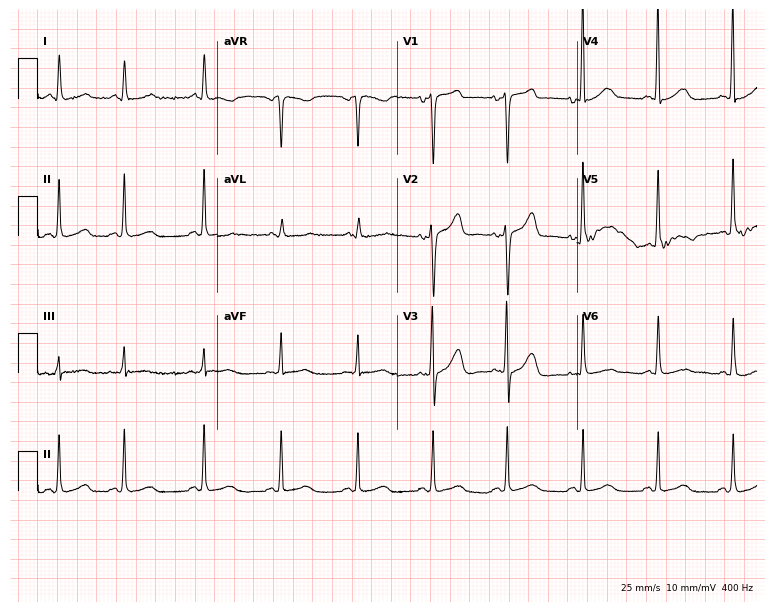
Standard 12-lead ECG recorded from a female, 81 years old (7.3-second recording at 400 Hz). None of these six findings is recorded: first-degree AV block, right bundle branch block, left bundle branch block, sinus bradycardia, atrial fibrillation, sinus tachycardia. Other findings, if any, are not listed.